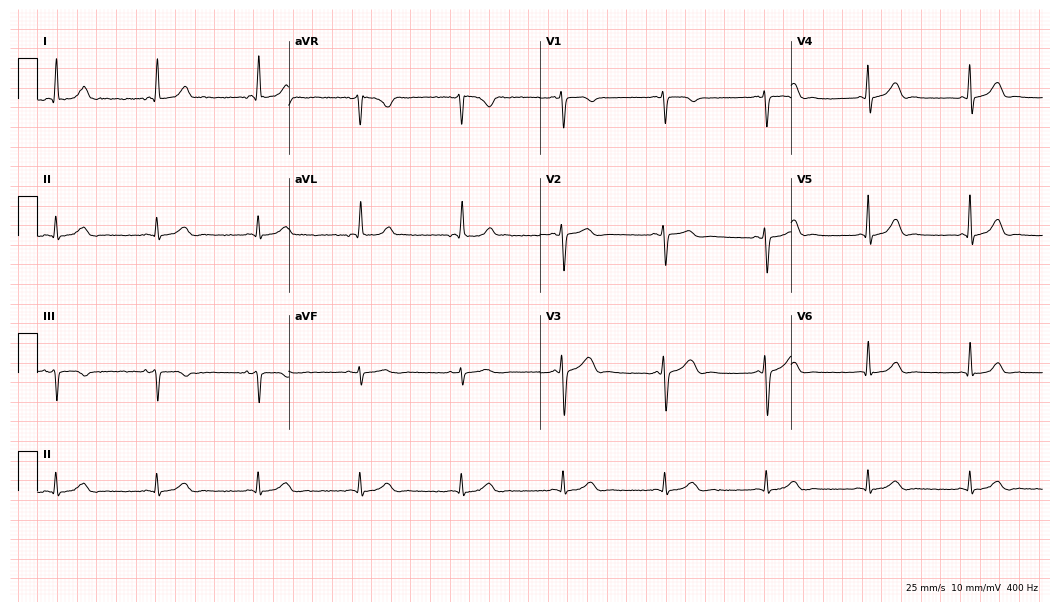
Resting 12-lead electrocardiogram. Patient: a woman, 45 years old. Read as a normal ECG.